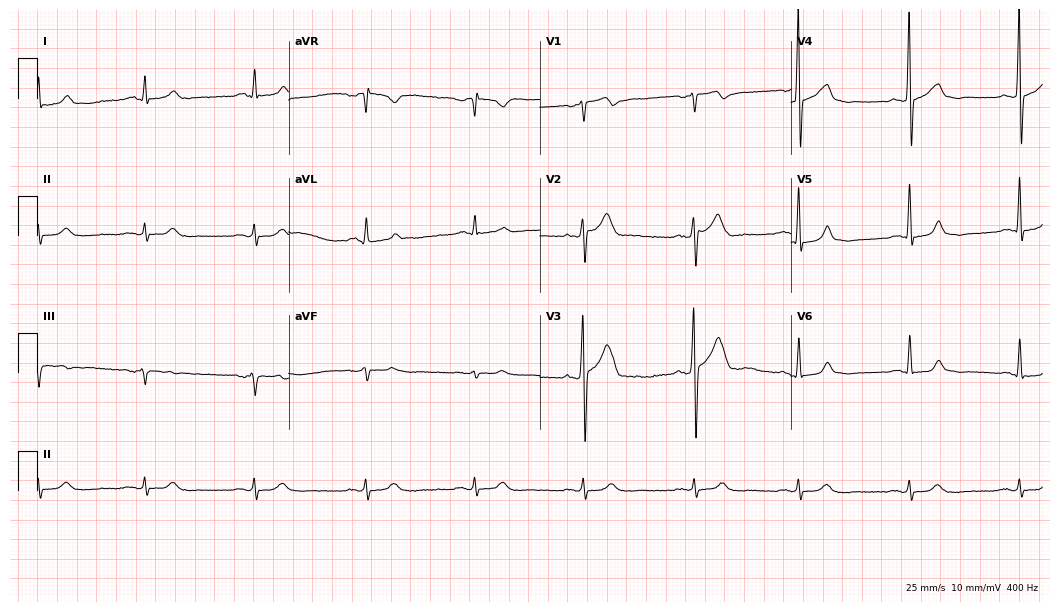
Standard 12-lead ECG recorded from a 61-year-old male patient. Read as a normal ECG.